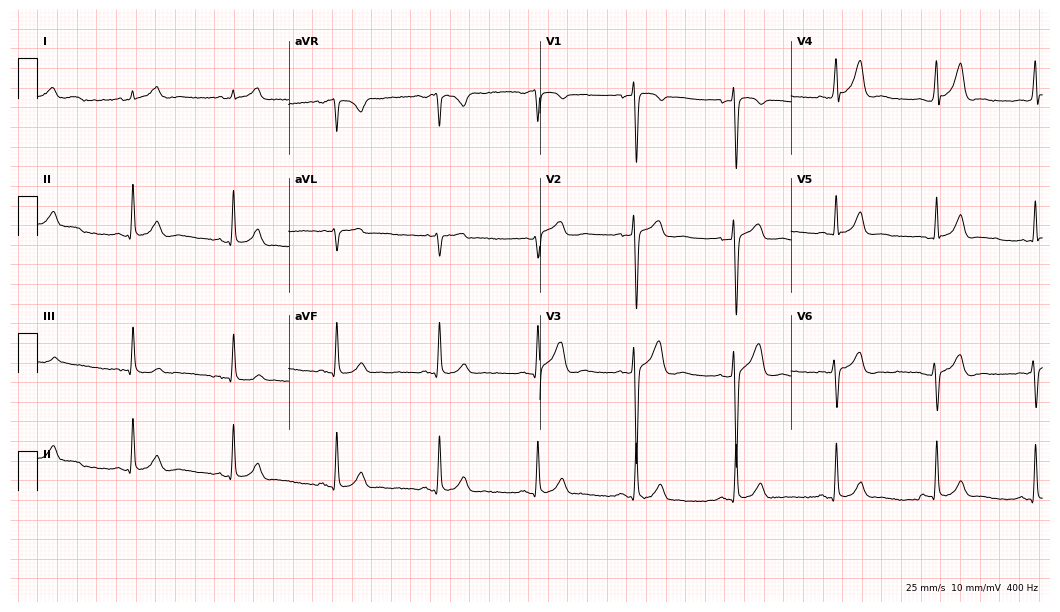
12-lead ECG from a 23-year-old male. No first-degree AV block, right bundle branch block (RBBB), left bundle branch block (LBBB), sinus bradycardia, atrial fibrillation (AF) or sinus tachycardia recorded for this tracing. Only these six findings were labelled.